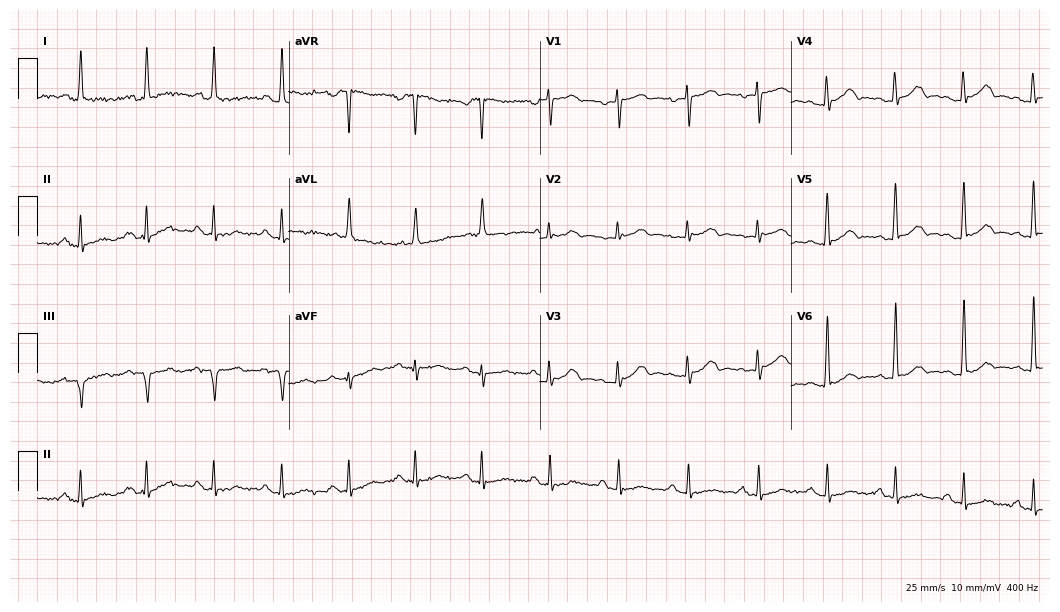
12-lead ECG (10.2-second recording at 400 Hz) from a female patient, 59 years old. Screened for six findings — first-degree AV block, right bundle branch block, left bundle branch block, sinus bradycardia, atrial fibrillation, sinus tachycardia — none is recorded.